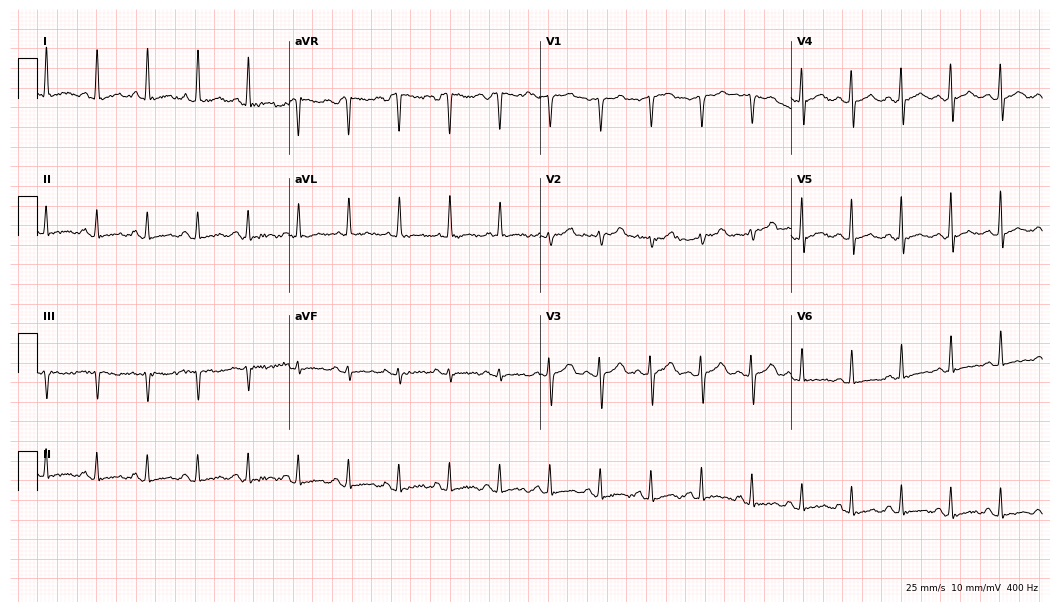
Standard 12-lead ECG recorded from a woman, 55 years old (10.2-second recording at 400 Hz). The tracing shows sinus tachycardia (a sinus rate of 100 beats per minute or more).